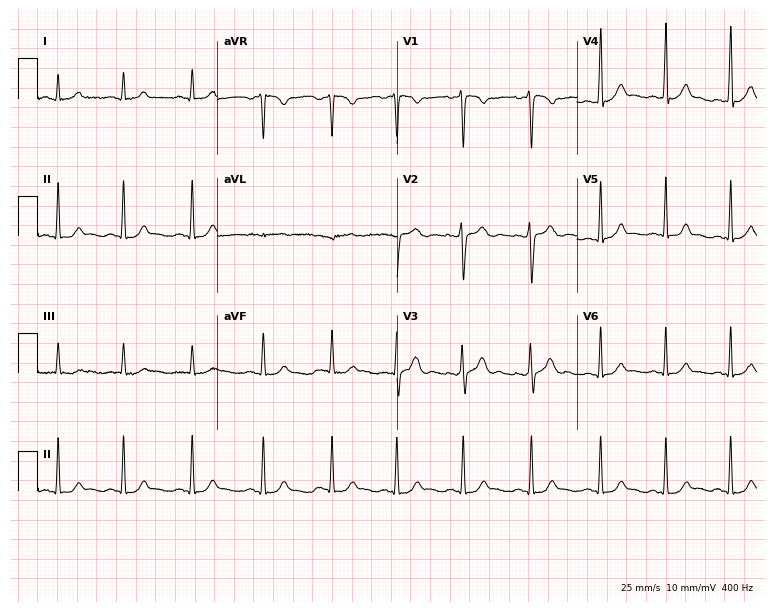
Electrocardiogram (7.3-second recording at 400 Hz), a 19-year-old woman. Overall reading on record: normal ECG.